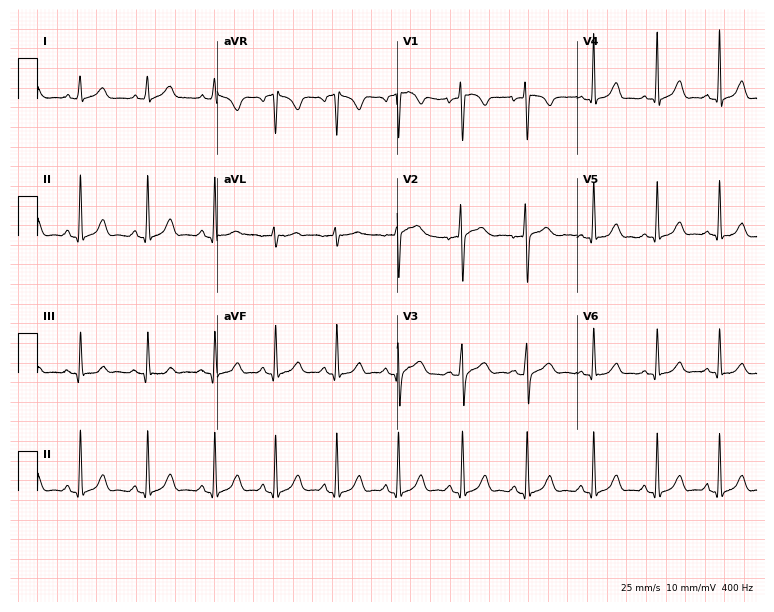
12-lead ECG from an 18-year-old woman (7.3-second recording at 400 Hz). No first-degree AV block, right bundle branch block, left bundle branch block, sinus bradycardia, atrial fibrillation or sinus tachycardia recorded for this tracing. Other findings, if any, are not listed.